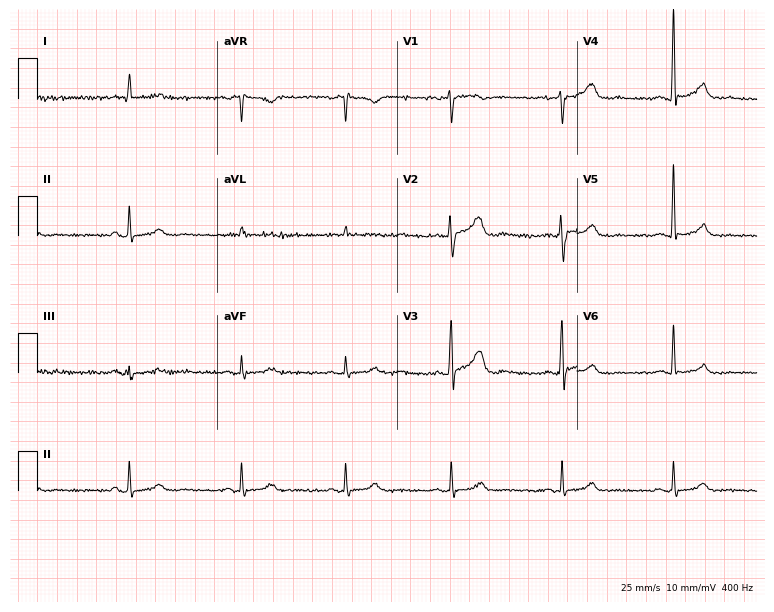
12-lead ECG from a 57-year-old man. Labelled as a normal ECG.